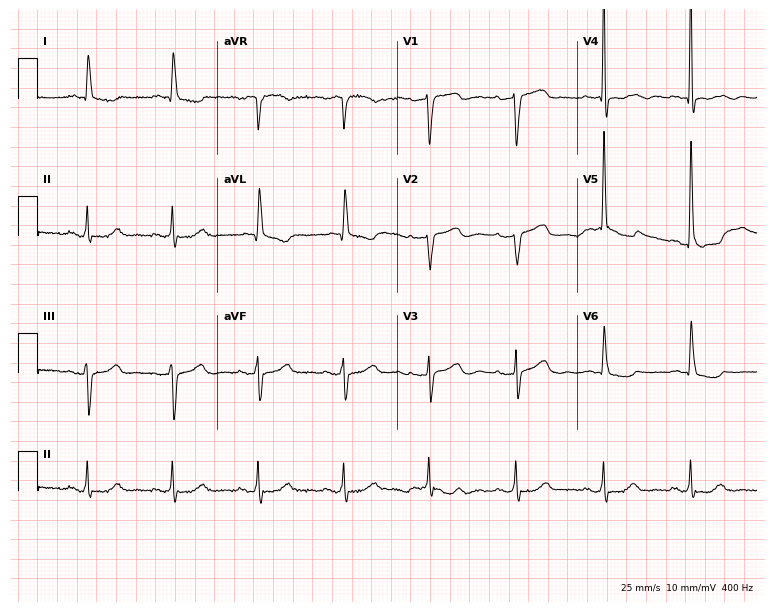
Resting 12-lead electrocardiogram. Patient: an 85-year-old male. None of these six findings is recorded: first-degree AV block, right bundle branch block, left bundle branch block, sinus bradycardia, atrial fibrillation, sinus tachycardia. Other findings, if any, are not listed.